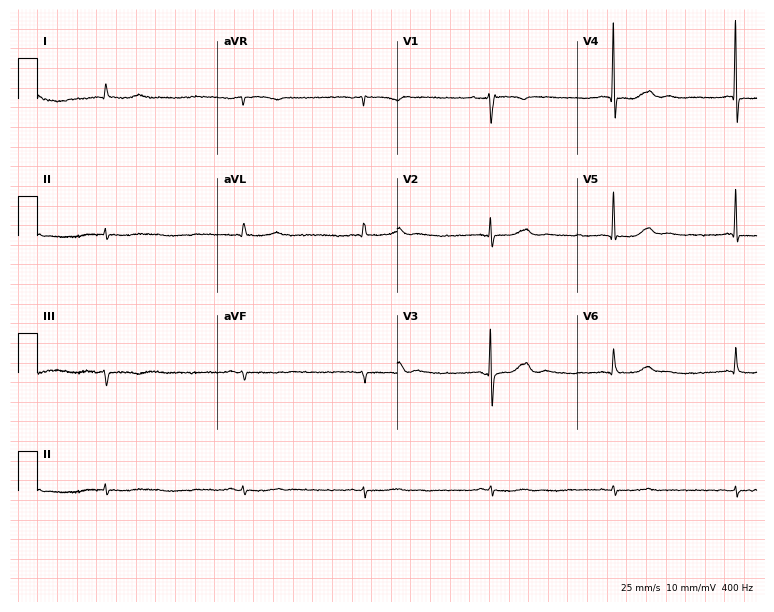
Electrocardiogram (7.3-second recording at 400 Hz), a female, 76 years old. Interpretation includes sinus bradycardia (a sinus rate of 50 beats per minute or less), atrial fibrillation.